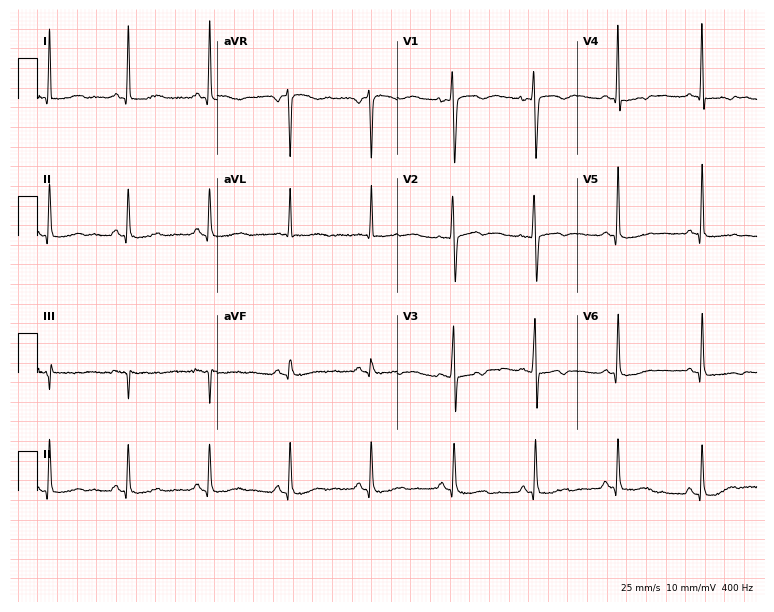
ECG (7.3-second recording at 400 Hz) — a 41-year-old woman. Screened for six findings — first-degree AV block, right bundle branch block (RBBB), left bundle branch block (LBBB), sinus bradycardia, atrial fibrillation (AF), sinus tachycardia — none is recorded.